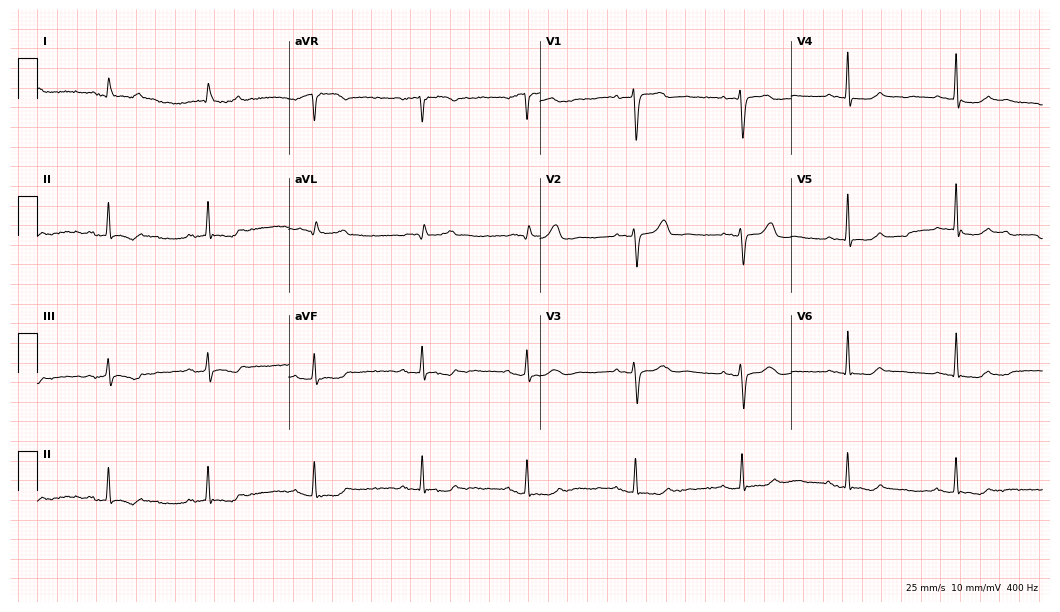
12-lead ECG from a female, 71 years old. Screened for six findings — first-degree AV block, right bundle branch block, left bundle branch block, sinus bradycardia, atrial fibrillation, sinus tachycardia — none is recorded. Only these six findings were labelled.